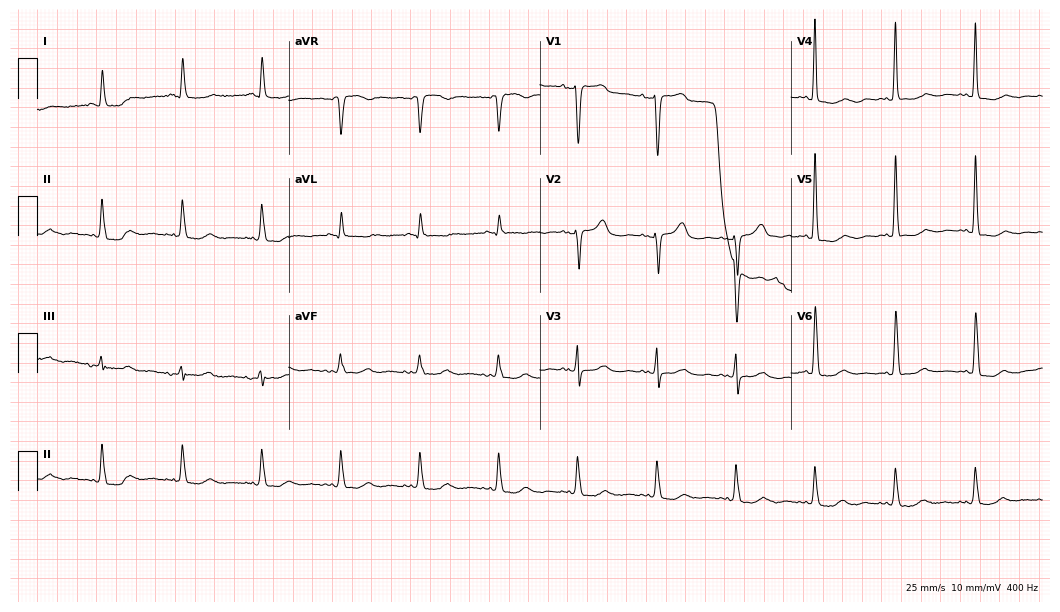
Standard 12-lead ECG recorded from an 85-year-old woman. None of these six findings is recorded: first-degree AV block, right bundle branch block, left bundle branch block, sinus bradycardia, atrial fibrillation, sinus tachycardia. Findings outside these six are not listed.